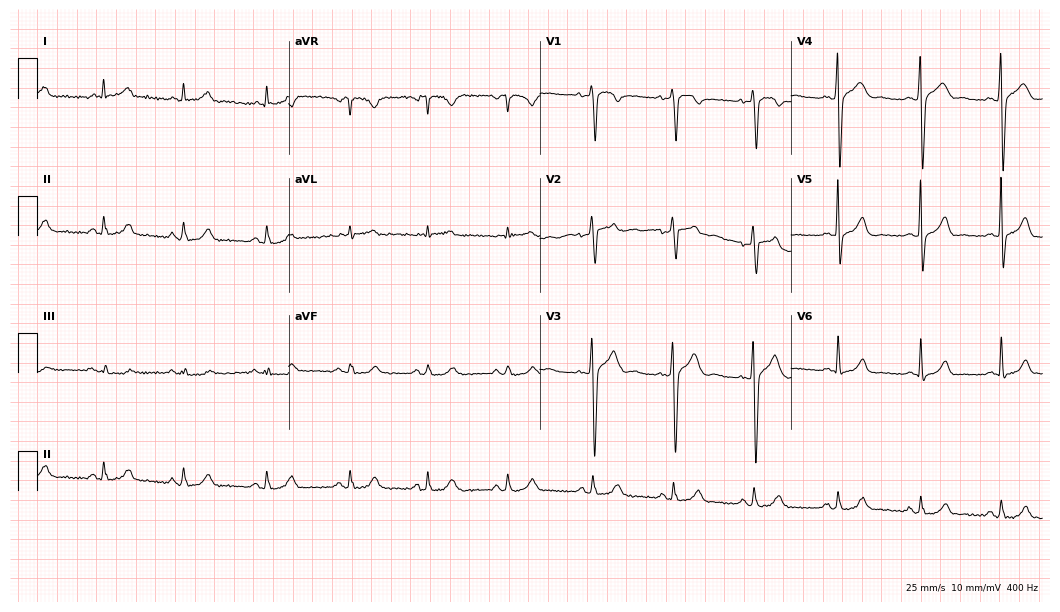
12-lead ECG from a 49-year-old male. Recorded interpretation: within normal limits.